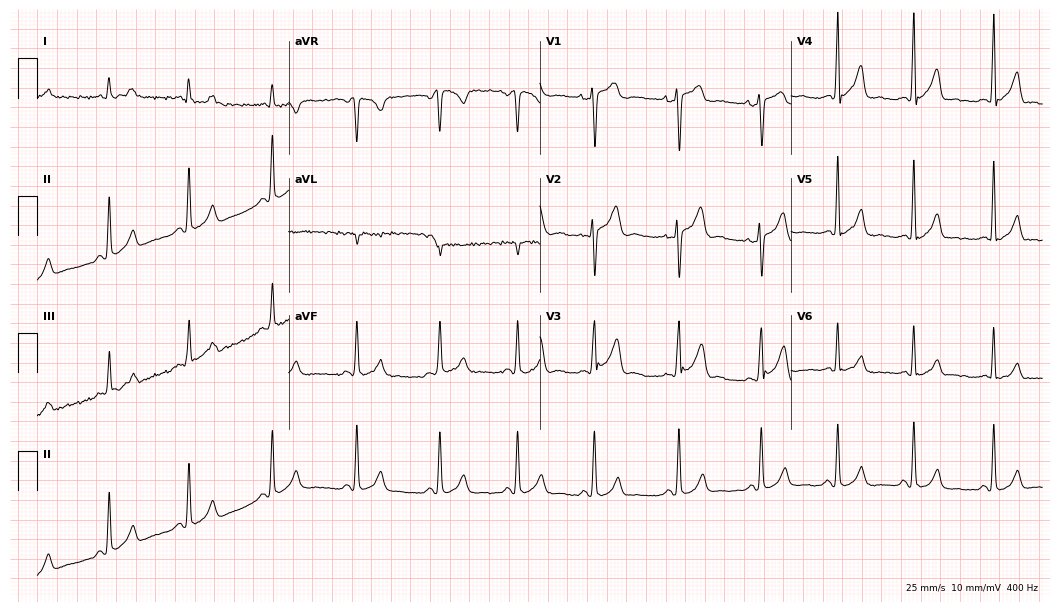
12-lead ECG from a male patient, 32 years old. Labelled as a normal ECG.